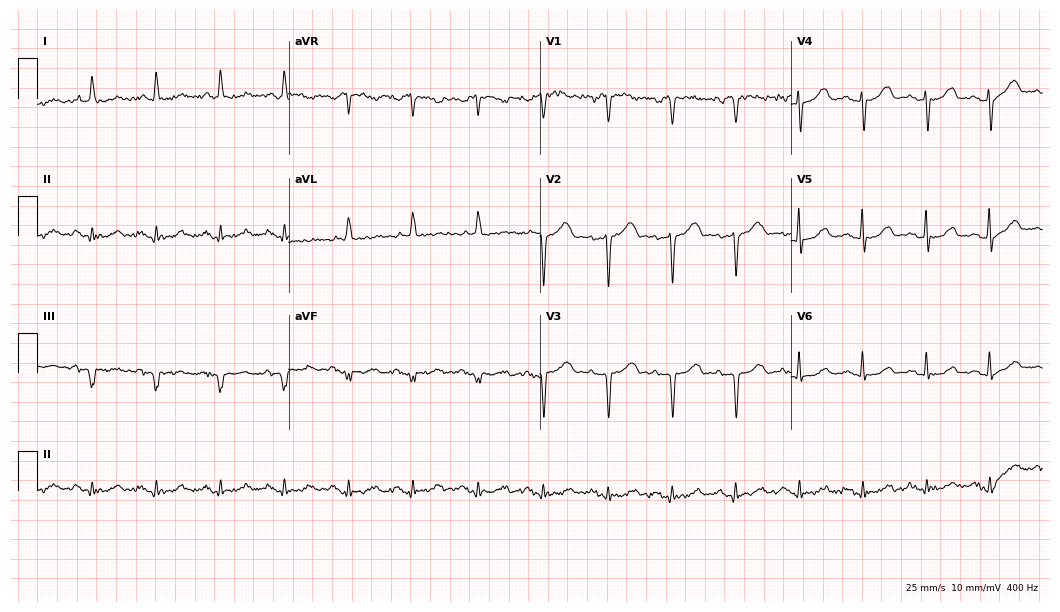
Electrocardiogram (10.2-second recording at 400 Hz), a female patient, 70 years old. Of the six screened findings (first-degree AV block, right bundle branch block (RBBB), left bundle branch block (LBBB), sinus bradycardia, atrial fibrillation (AF), sinus tachycardia), none is recorded. Other findings, if any, are not listed.